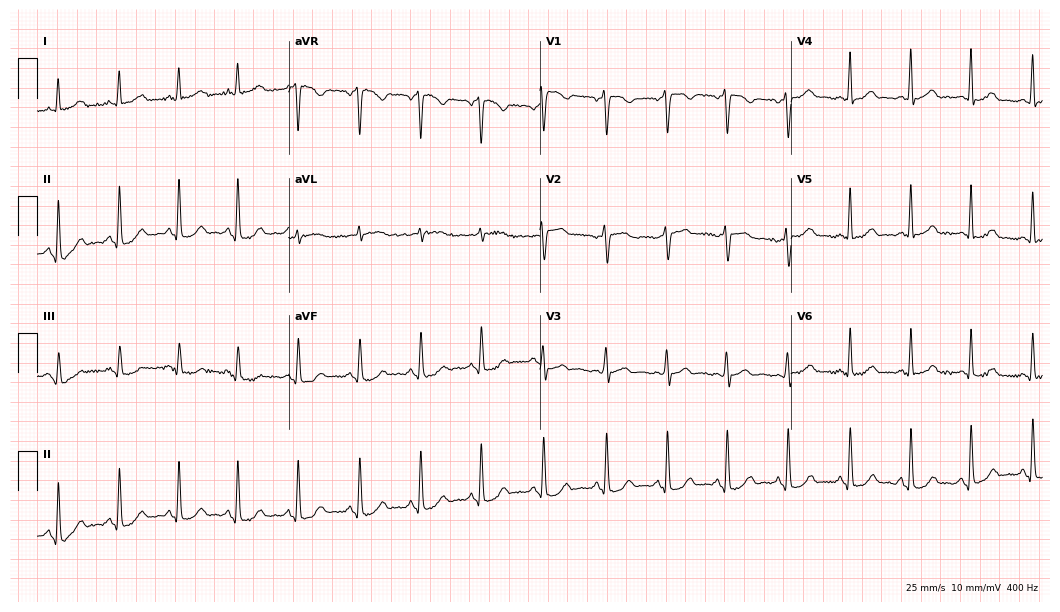
ECG — a 19-year-old female. Screened for six findings — first-degree AV block, right bundle branch block, left bundle branch block, sinus bradycardia, atrial fibrillation, sinus tachycardia — none is recorded.